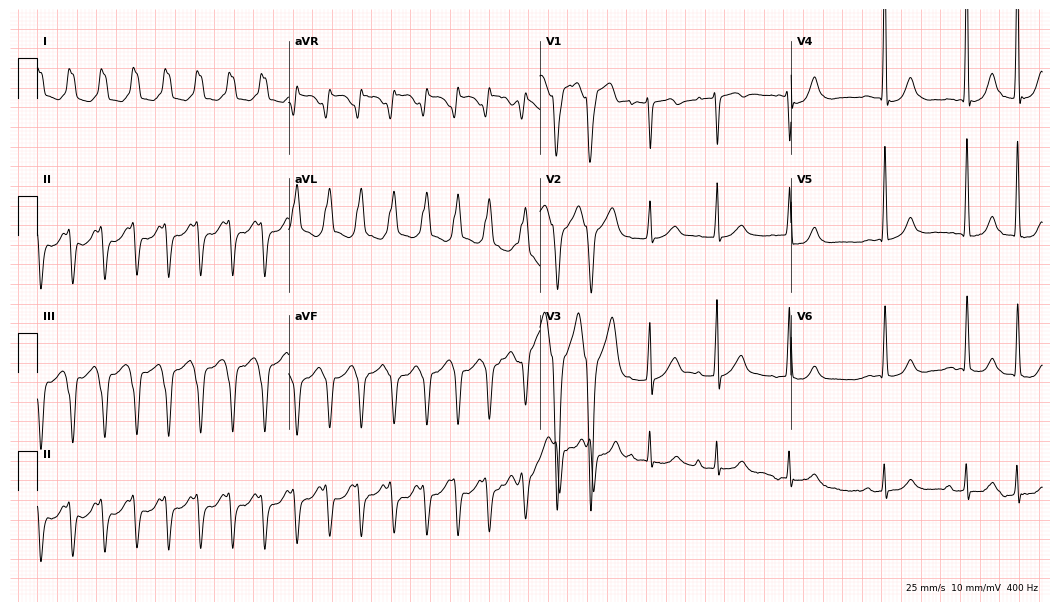
Electrocardiogram (10.2-second recording at 400 Hz), a 75-year-old female patient. Interpretation includes atrial fibrillation, sinus tachycardia (a sinus rate of 100 beats per minute or more).